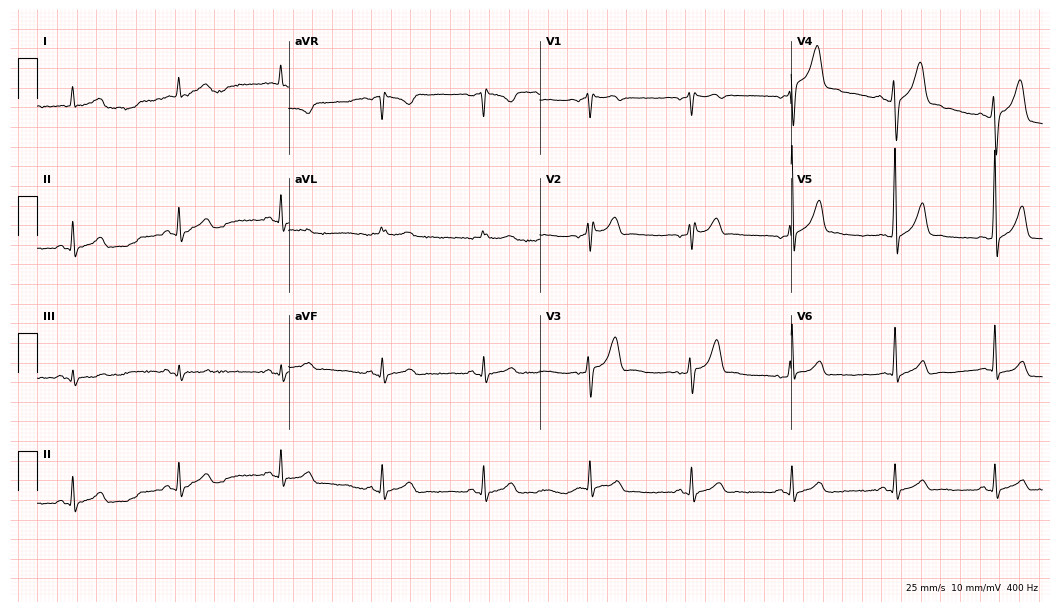
ECG — a male, 41 years old. Labelled as a normal ECG.